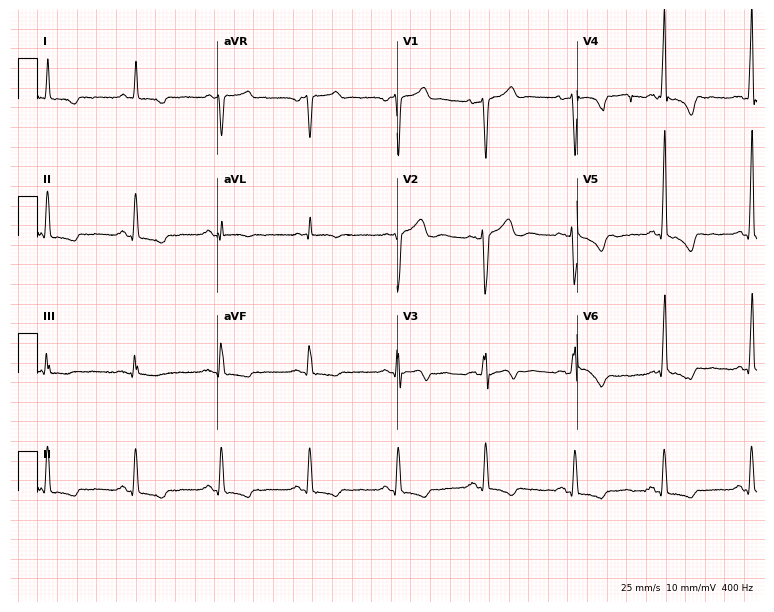
Electrocardiogram (7.3-second recording at 400 Hz), a man, 59 years old. Overall reading on record: normal ECG.